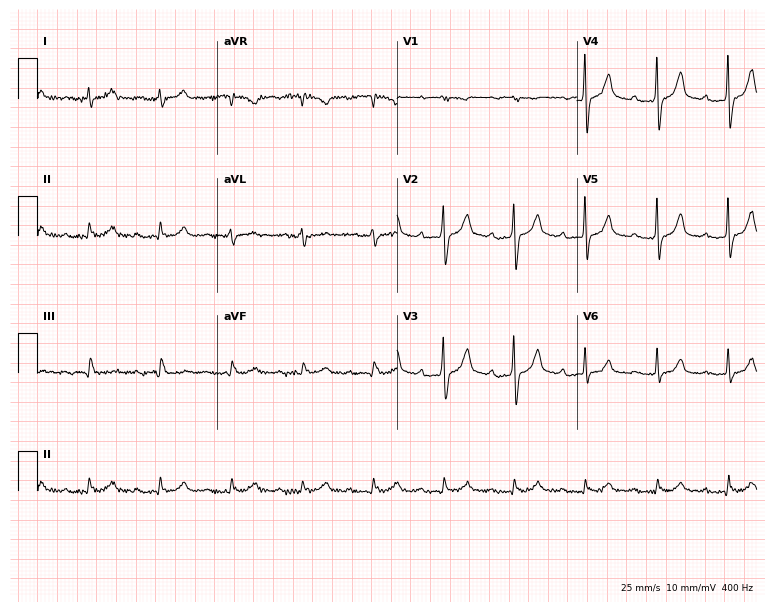
Electrocardiogram (7.3-second recording at 400 Hz), a male, 80 years old. Interpretation includes first-degree AV block.